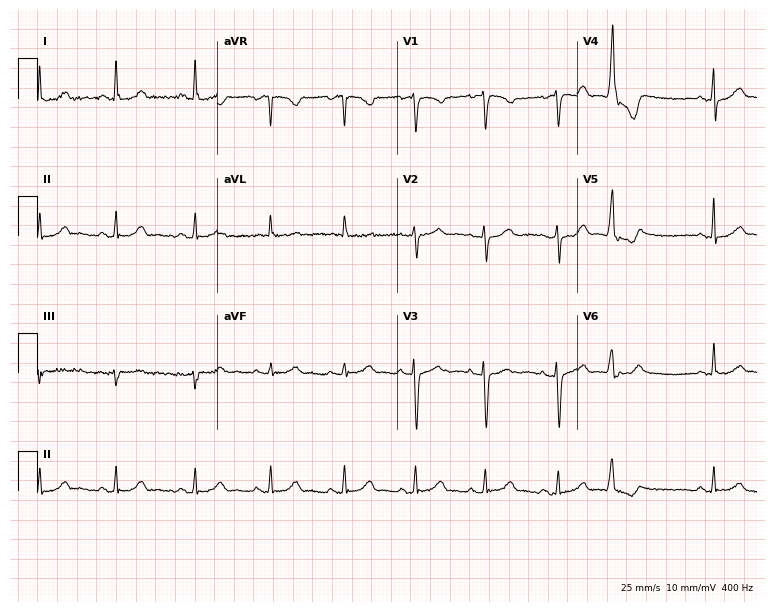
12-lead ECG from a female, 43 years old (7.3-second recording at 400 Hz). No first-degree AV block, right bundle branch block, left bundle branch block, sinus bradycardia, atrial fibrillation or sinus tachycardia recorded for this tracing.